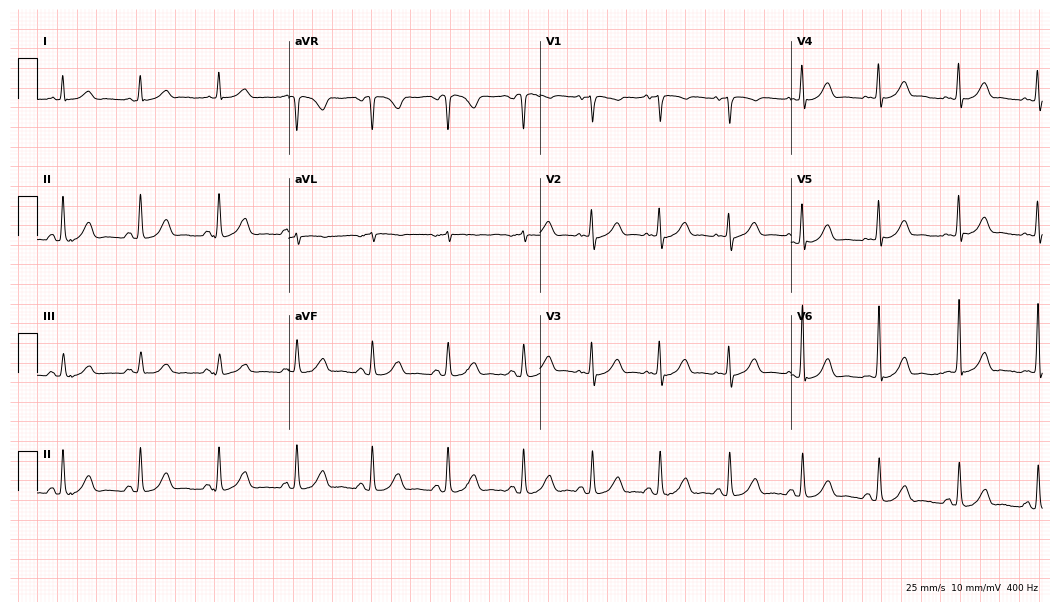
12-lead ECG from a 72-year-old male patient. Recorded interpretation: within normal limits.